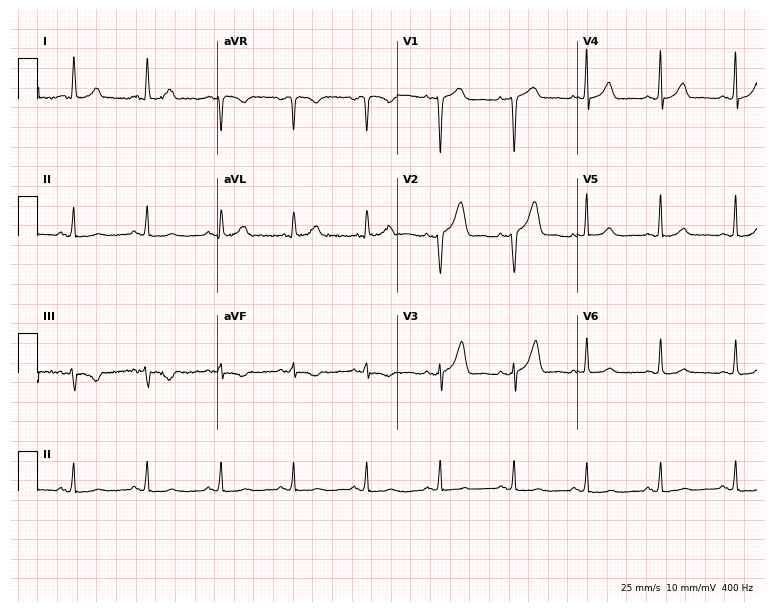
Resting 12-lead electrocardiogram. Patient: a 52-year-old female. None of these six findings is recorded: first-degree AV block, right bundle branch block, left bundle branch block, sinus bradycardia, atrial fibrillation, sinus tachycardia.